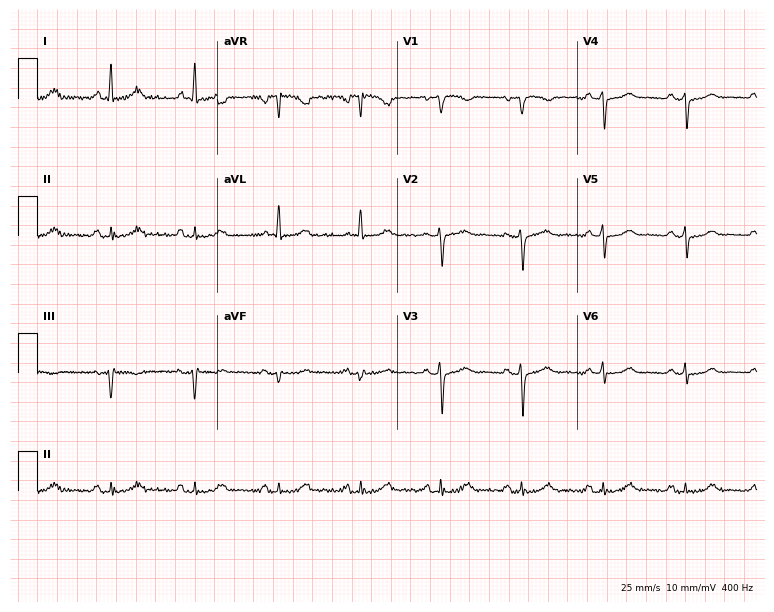
Resting 12-lead electrocardiogram. Patient: a female, 68 years old. Read as a normal ECG.